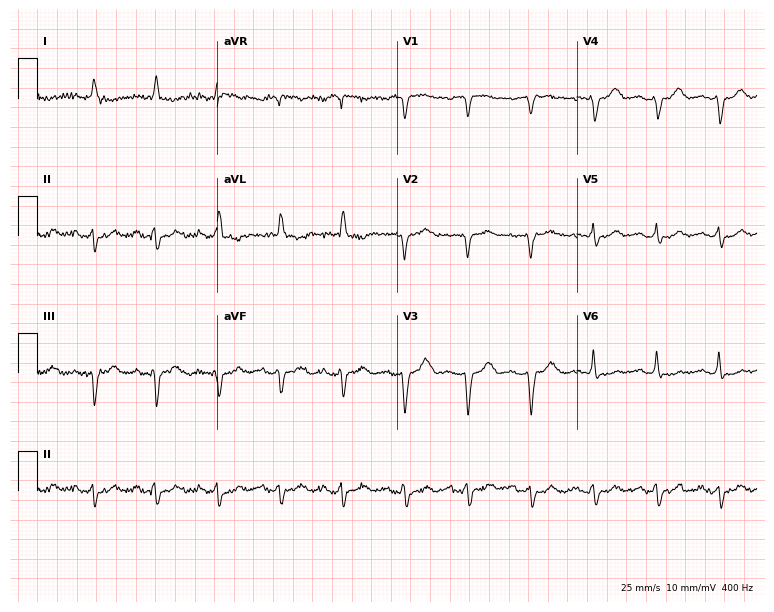
12-lead ECG from a female patient, 76 years old. Screened for six findings — first-degree AV block, right bundle branch block, left bundle branch block, sinus bradycardia, atrial fibrillation, sinus tachycardia — none is recorded.